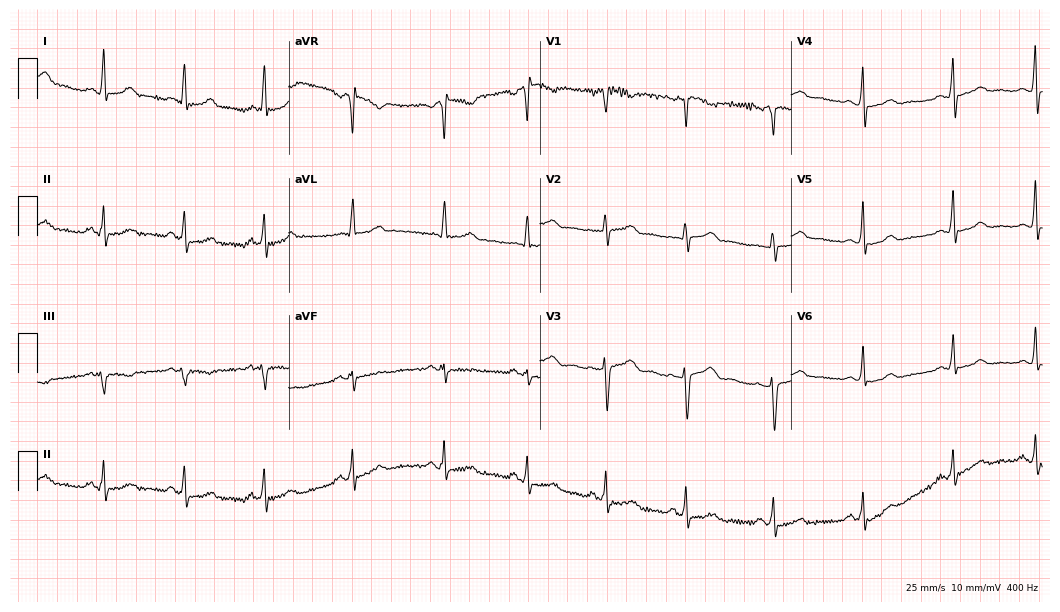
12-lead ECG from a female patient, 33 years old. Labelled as a normal ECG.